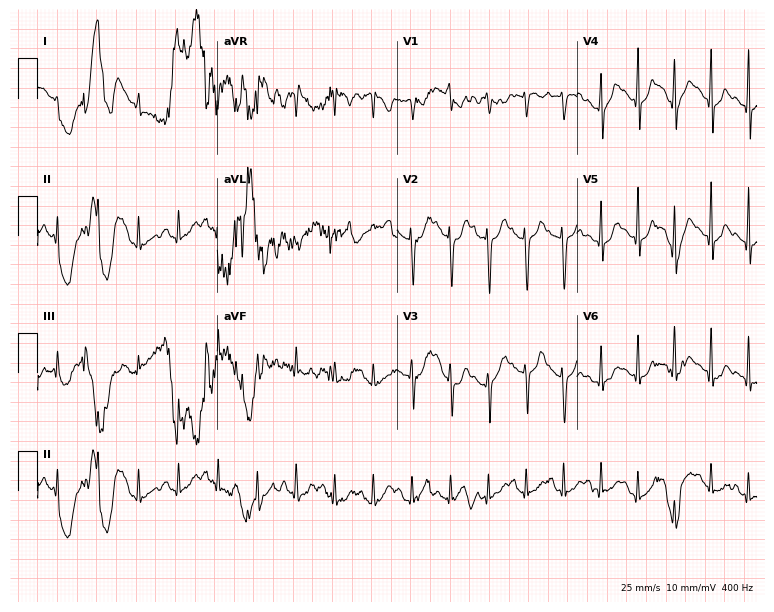
Standard 12-lead ECG recorded from a female, 25 years old. The tracing shows sinus tachycardia (a sinus rate of 100 beats per minute or more).